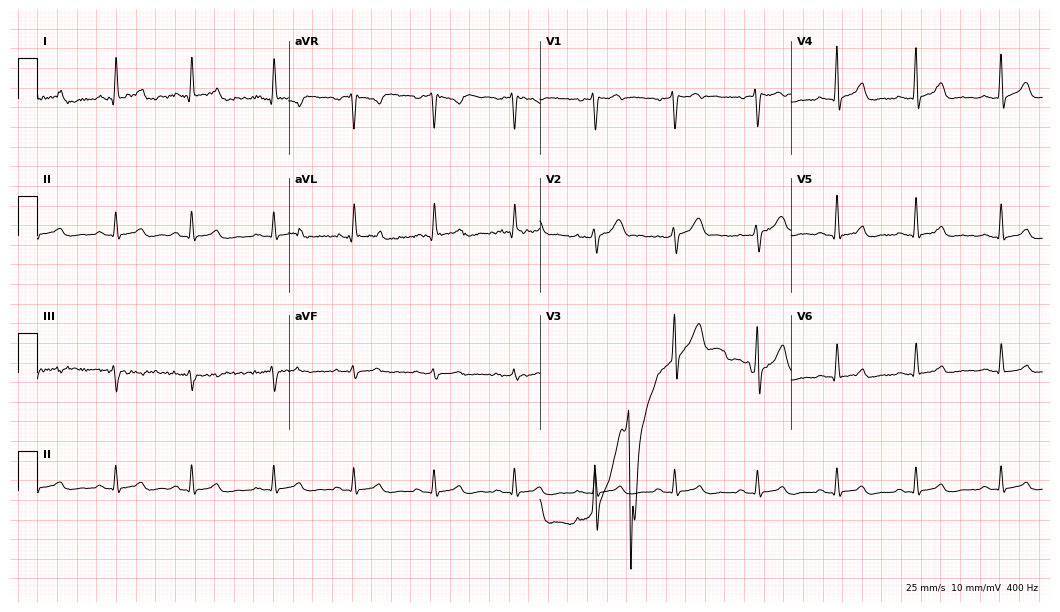
12-lead ECG from a male patient, 61 years old. Recorded interpretation: within normal limits.